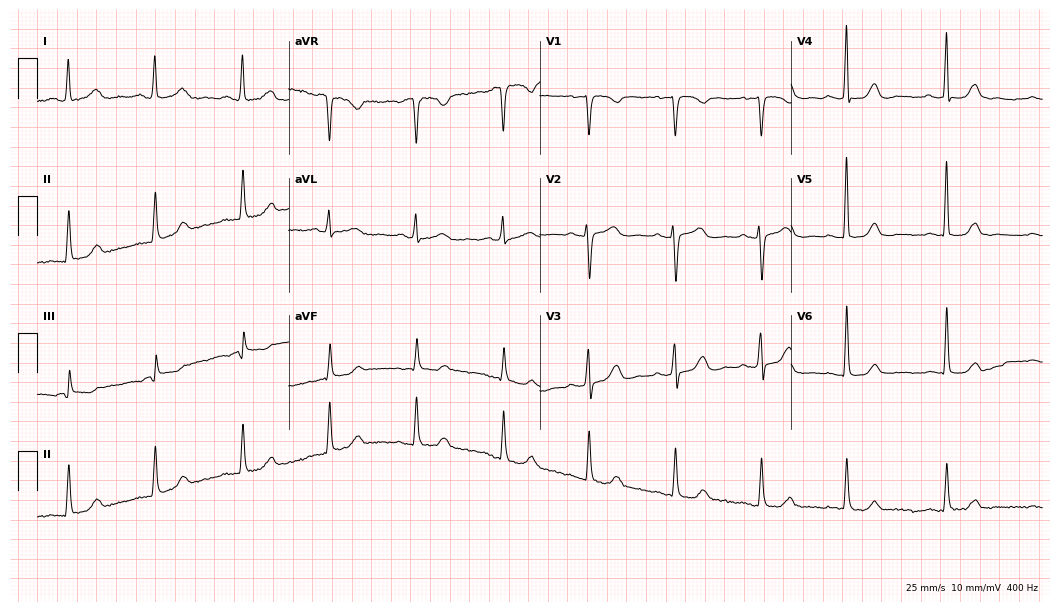
Standard 12-lead ECG recorded from a 75-year-old woman (10.2-second recording at 400 Hz). Read as a normal ECG.